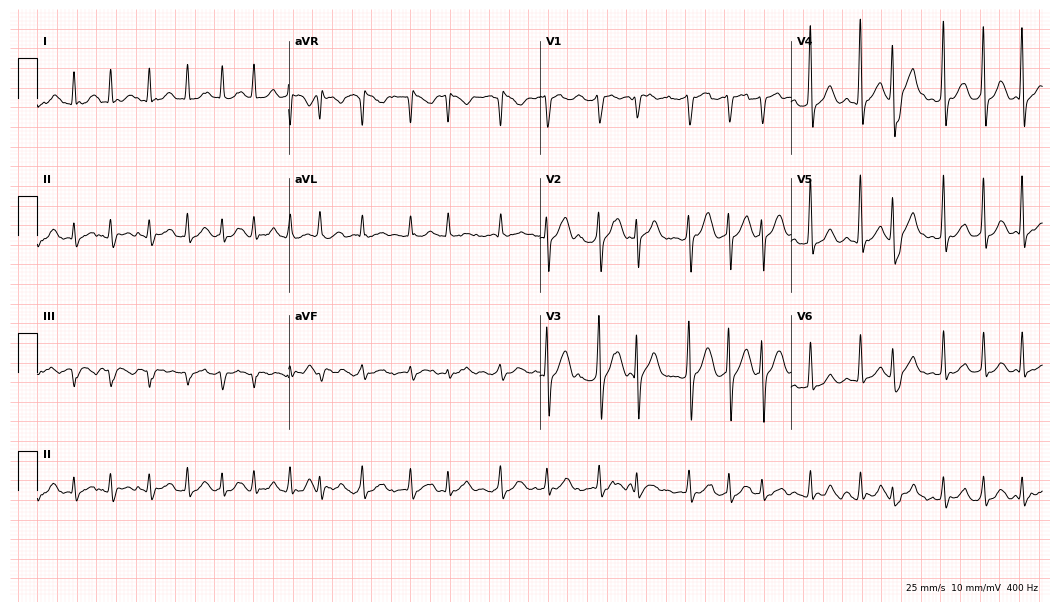
Standard 12-lead ECG recorded from a 56-year-old male (10.2-second recording at 400 Hz). The tracing shows atrial fibrillation, sinus tachycardia (a sinus rate of 100 beats per minute or more).